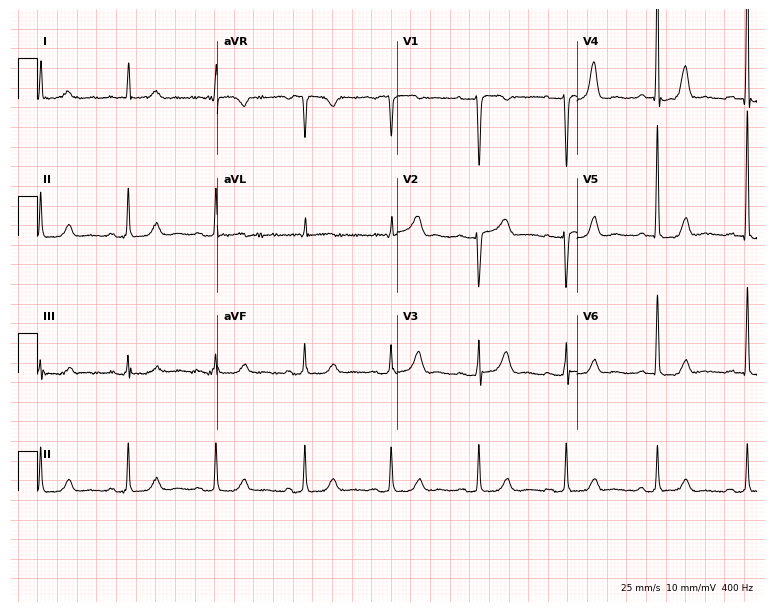
12-lead ECG from a female, 78 years old (7.3-second recording at 400 Hz). Recorded interpretation: within normal limits.